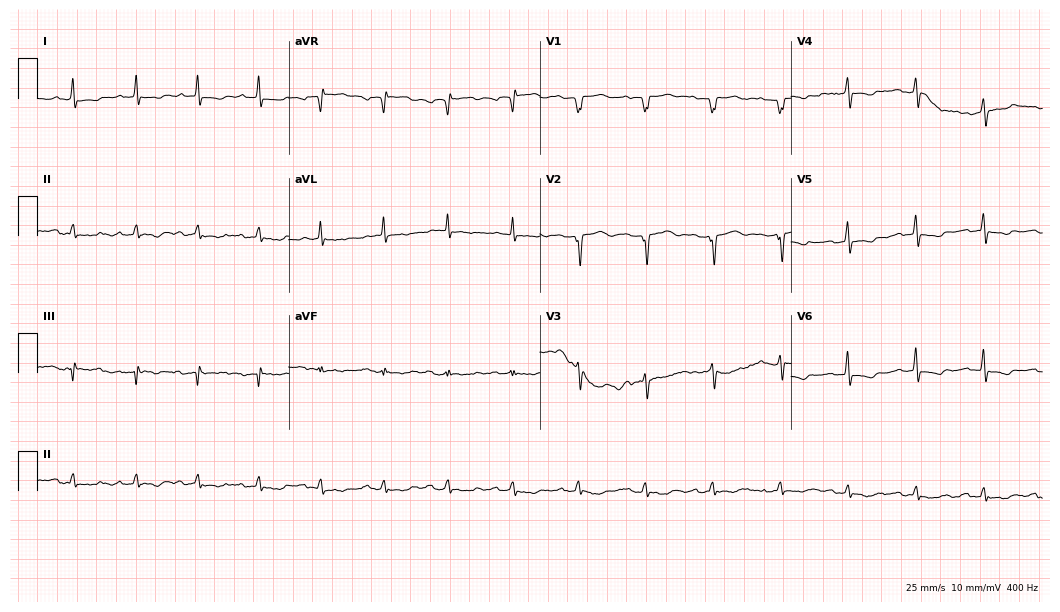
Standard 12-lead ECG recorded from a male patient, 64 years old. None of these six findings is recorded: first-degree AV block, right bundle branch block, left bundle branch block, sinus bradycardia, atrial fibrillation, sinus tachycardia.